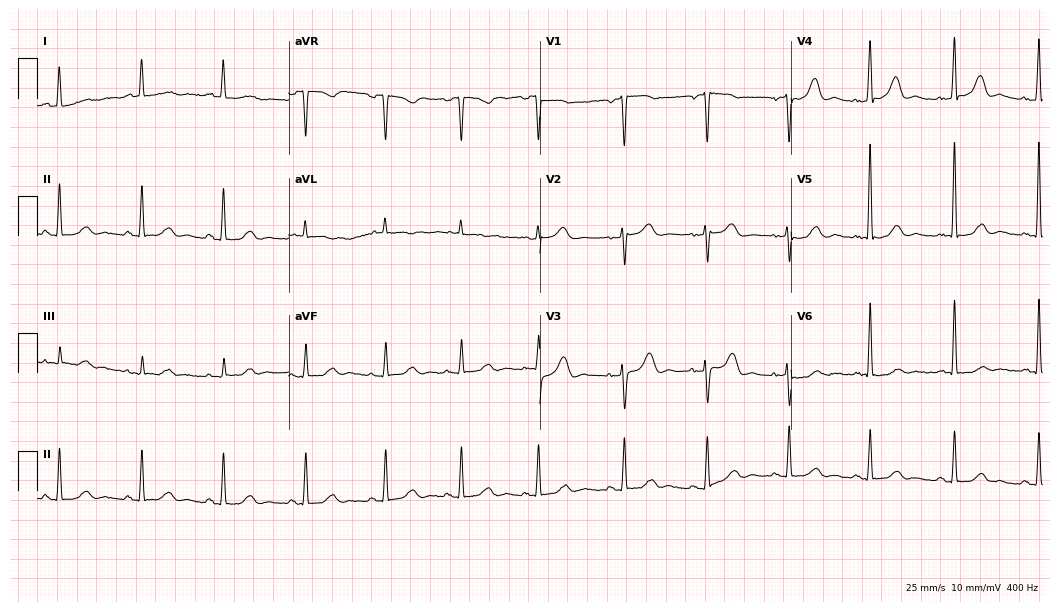
12-lead ECG from a 55-year-old female. Recorded interpretation: within normal limits.